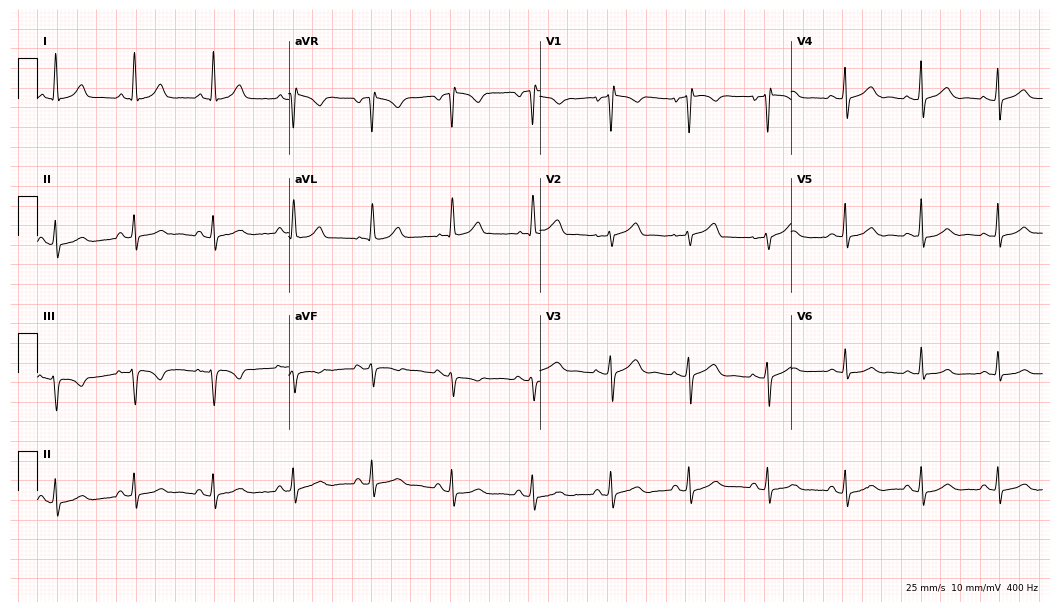
12-lead ECG from a 52-year-old woman. Labelled as a normal ECG.